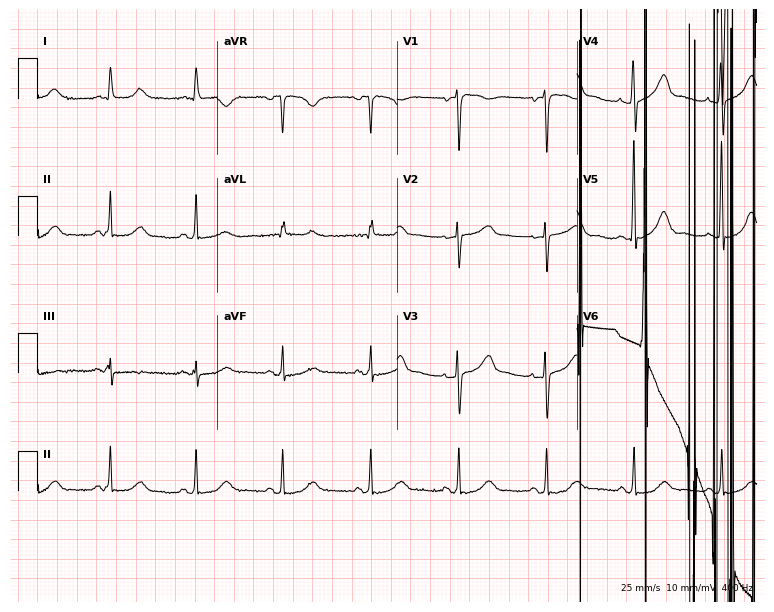
ECG — a 68-year-old female patient. Labelled as a normal ECG.